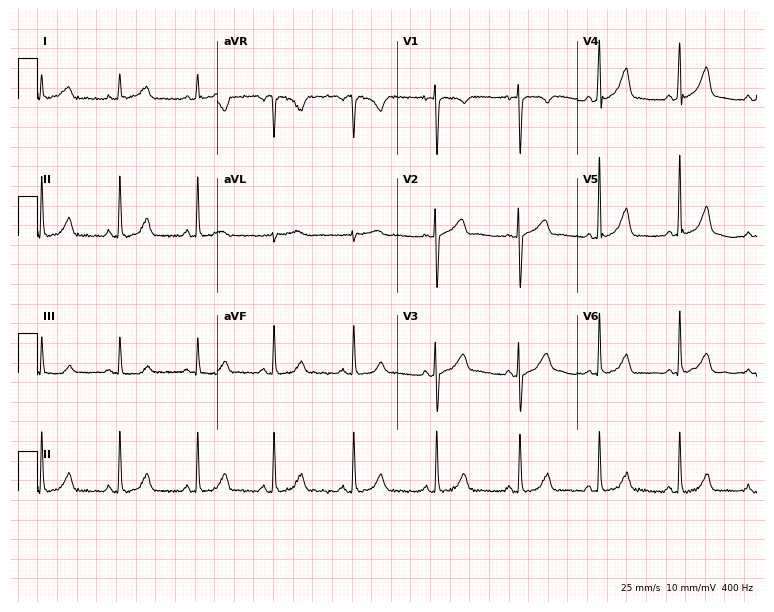
12-lead ECG (7.3-second recording at 400 Hz) from a female patient, 40 years old. Screened for six findings — first-degree AV block, right bundle branch block, left bundle branch block, sinus bradycardia, atrial fibrillation, sinus tachycardia — none is recorded.